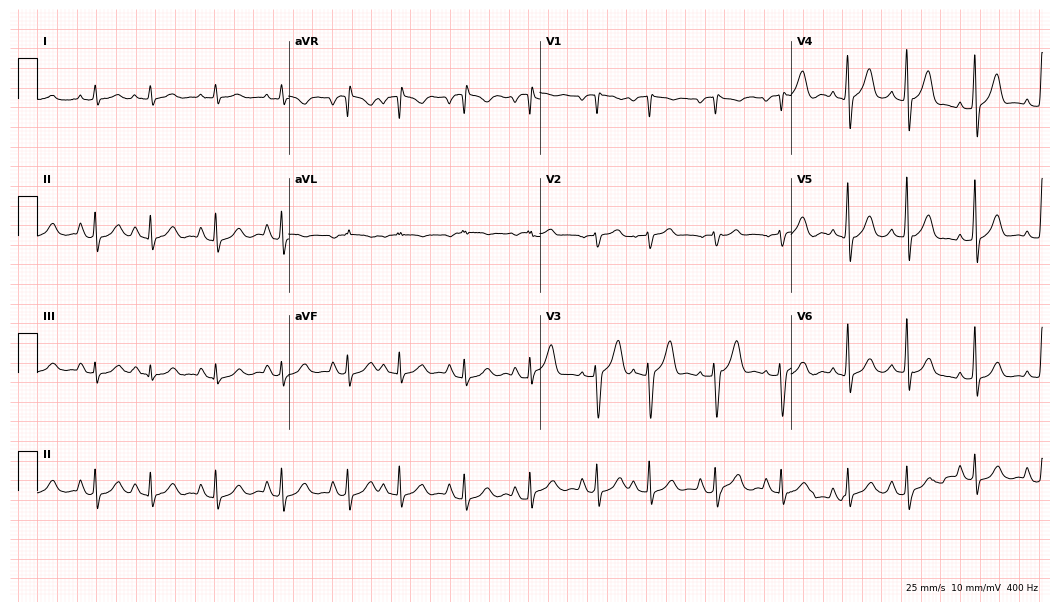
Standard 12-lead ECG recorded from a 75-year-old male patient. None of these six findings is recorded: first-degree AV block, right bundle branch block (RBBB), left bundle branch block (LBBB), sinus bradycardia, atrial fibrillation (AF), sinus tachycardia. Findings outside these six are not listed.